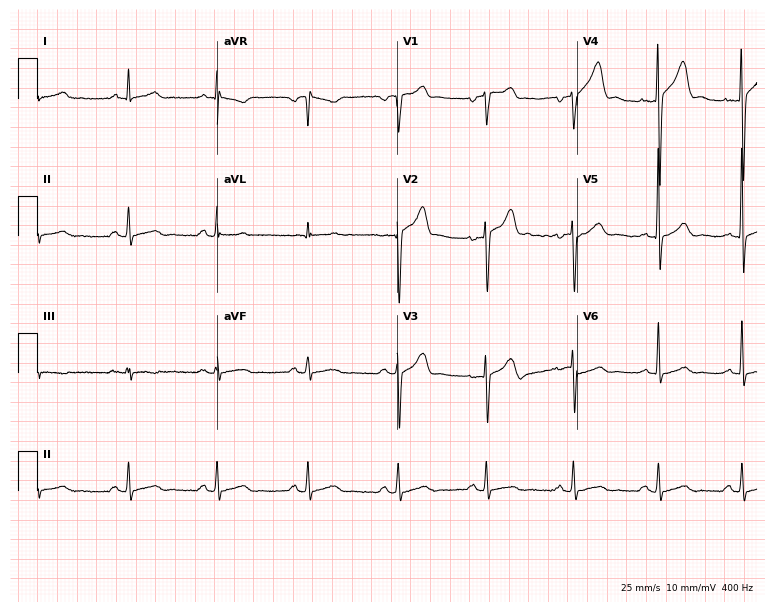
12-lead ECG from a 48-year-old man. Recorded interpretation: within normal limits.